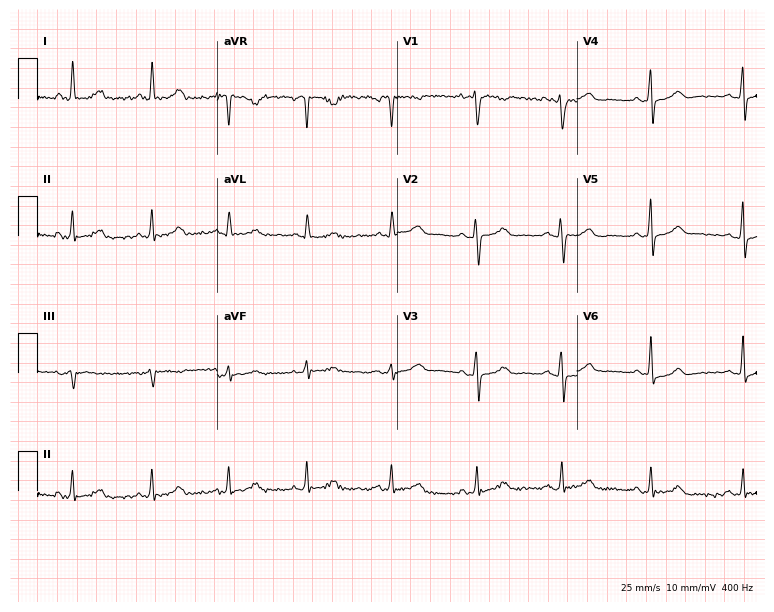
12-lead ECG (7.3-second recording at 400 Hz) from a female, 48 years old. Screened for six findings — first-degree AV block, right bundle branch block (RBBB), left bundle branch block (LBBB), sinus bradycardia, atrial fibrillation (AF), sinus tachycardia — none is recorded.